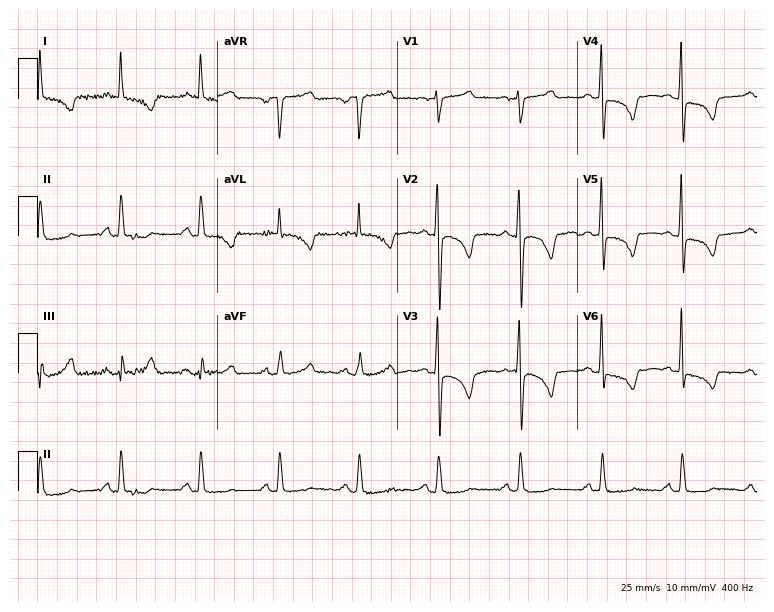
ECG — a 51-year-old female. Screened for six findings — first-degree AV block, right bundle branch block, left bundle branch block, sinus bradycardia, atrial fibrillation, sinus tachycardia — none is recorded. Only these six findings were labelled.